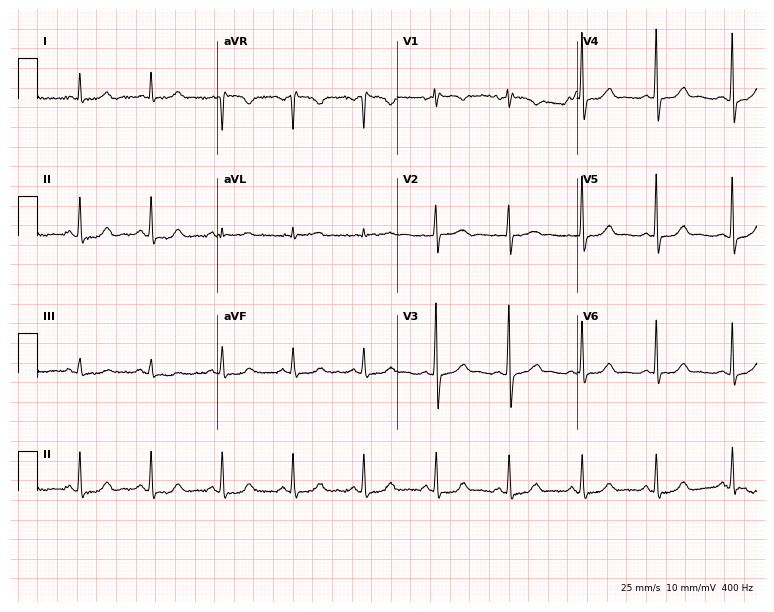
Standard 12-lead ECG recorded from a female patient, 50 years old. Read as a normal ECG.